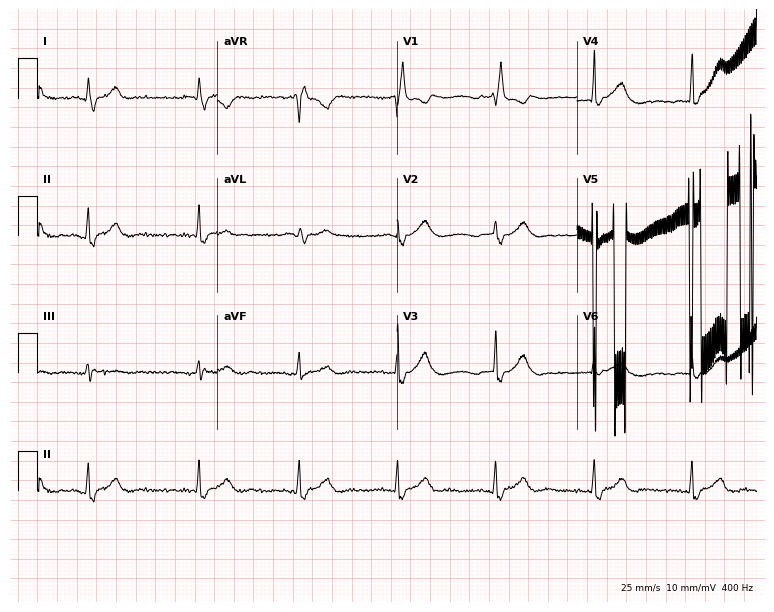
ECG — a man, 82 years old. Screened for six findings — first-degree AV block, right bundle branch block, left bundle branch block, sinus bradycardia, atrial fibrillation, sinus tachycardia — none is recorded. Only these six findings were labelled.